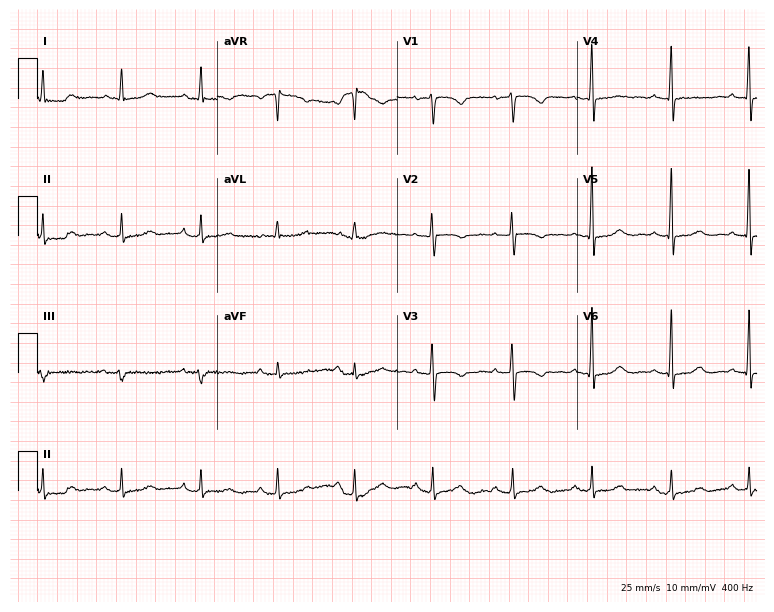
Standard 12-lead ECG recorded from a woman, 61 years old. Read as a normal ECG.